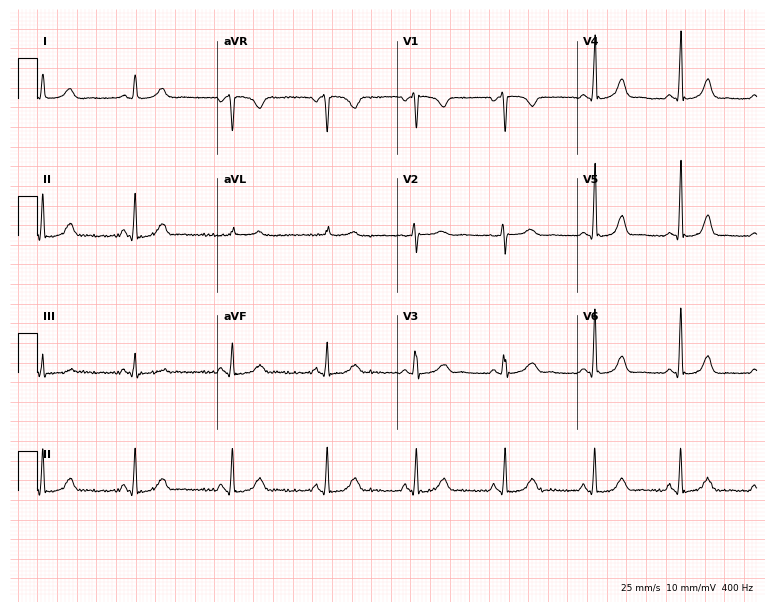
ECG — a 49-year-old woman. Labelled as a normal ECG.